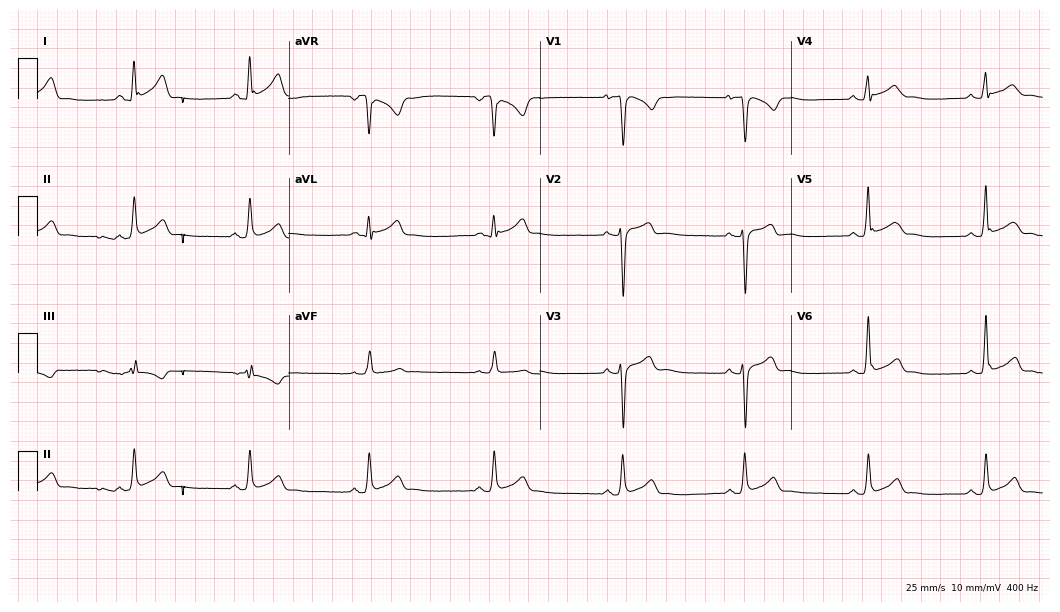
Standard 12-lead ECG recorded from a 23-year-old man (10.2-second recording at 400 Hz). None of these six findings is recorded: first-degree AV block, right bundle branch block, left bundle branch block, sinus bradycardia, atrial fibrillation, sinus tachycardia. Findings outside these six are not listed.